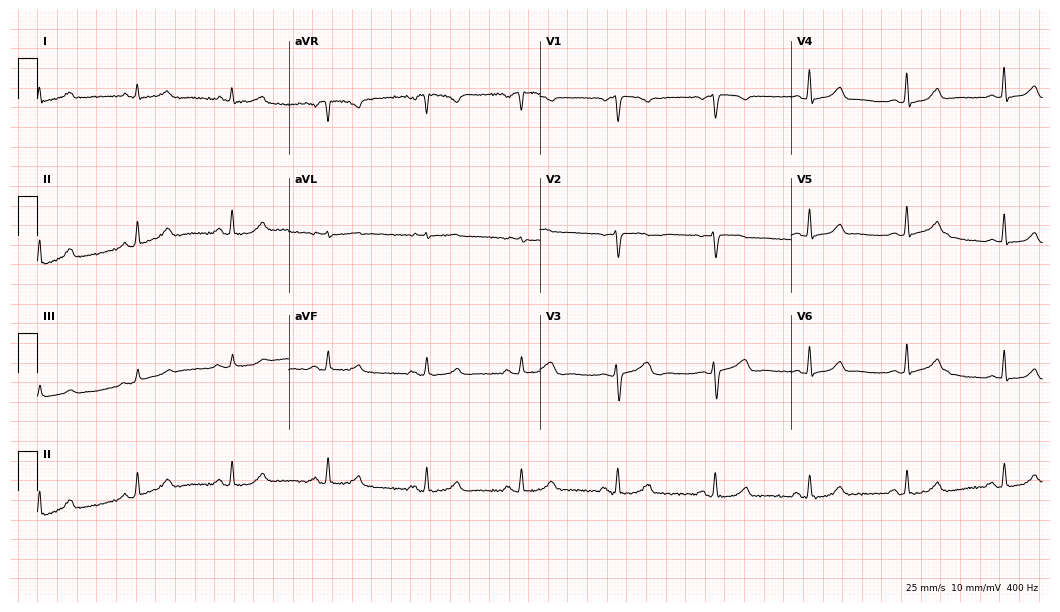
12-lead ECG from a 35-year-old female. Labelled as a normal ECG.